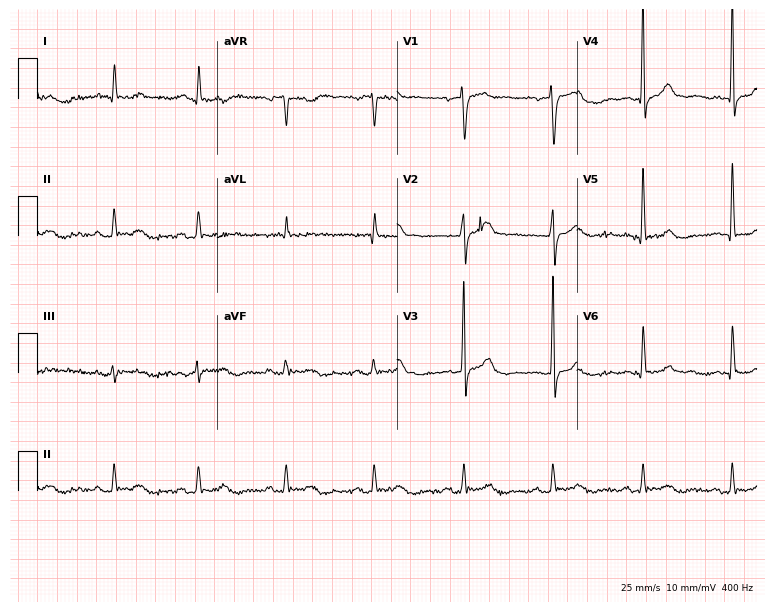
12-lead ECG from a male patient, 72 years old. Screened for six findings — first-degree AV block, right bundle branch block, left bundle branch block, sinus bradycardia, atrial fibrillation, sinus tachycardia — none is recorded. Findings outside these six are not listed.